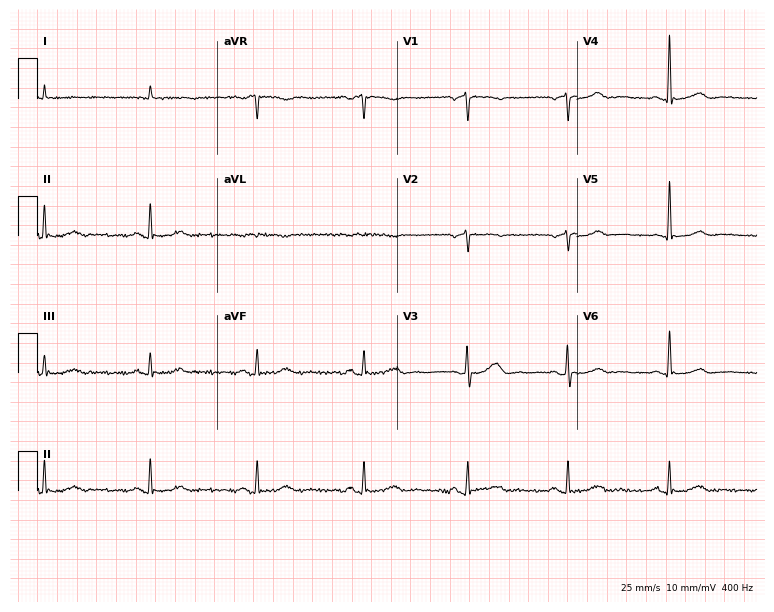
12-lead ECG from an 82-year-old male. Screened for six findings — first-degree AV block, right bundle branch block, left bundle branch block, sinus bradycardia, atrial fibrillation, sinus tachycardia — none is recorded. Findings outside these six are not listed.